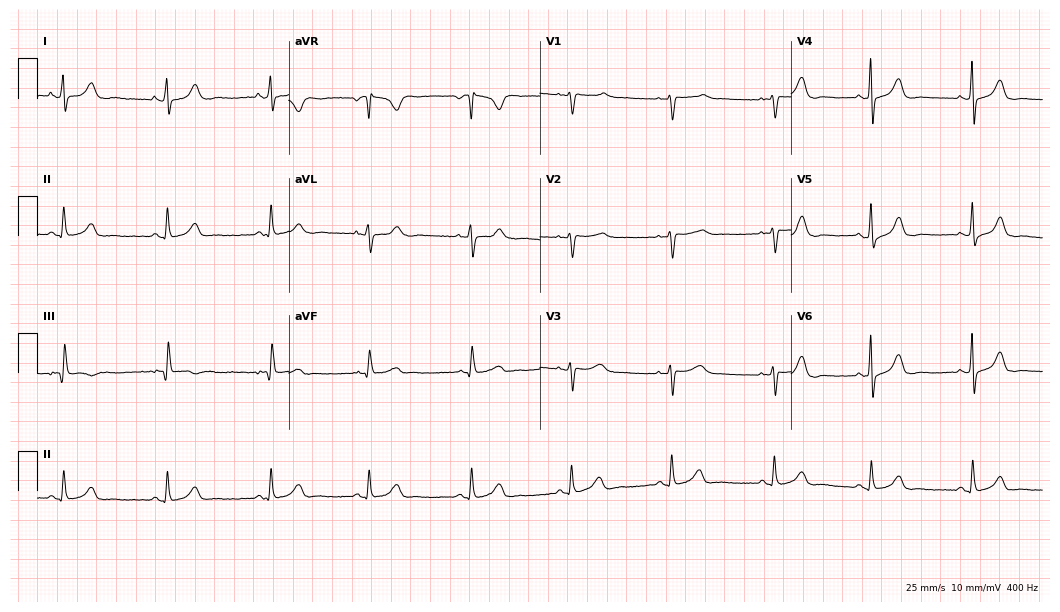
12-lead ECG from a woman, 43 years old (10.2-second recording at 400 Hz). Recorded interpretation: within normal limits.